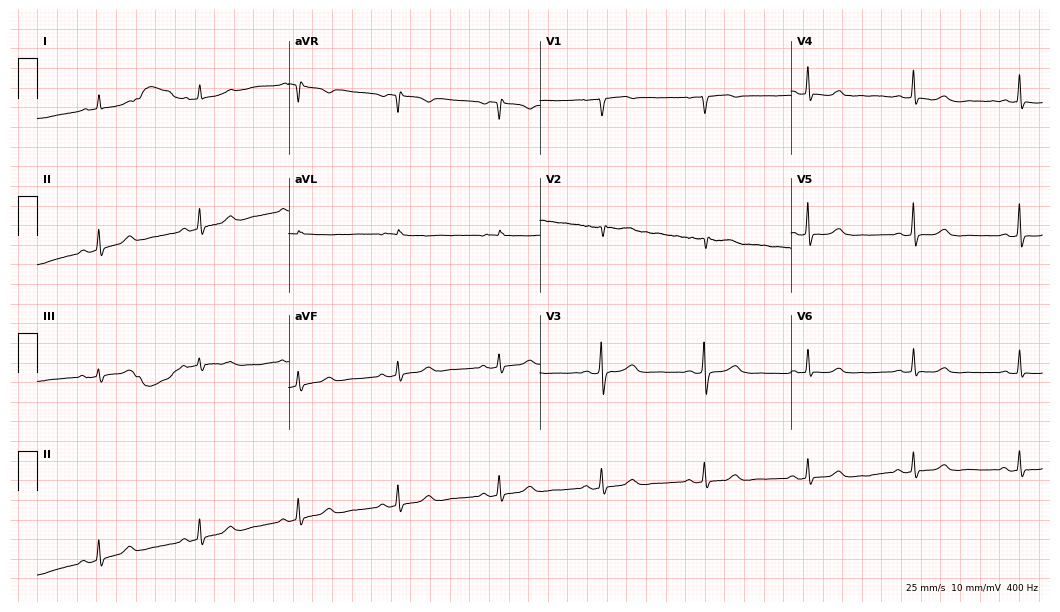
ECG (10.2-second recording at 400 Hz) — a 61-year-old female. Labelled as a normal ECG.